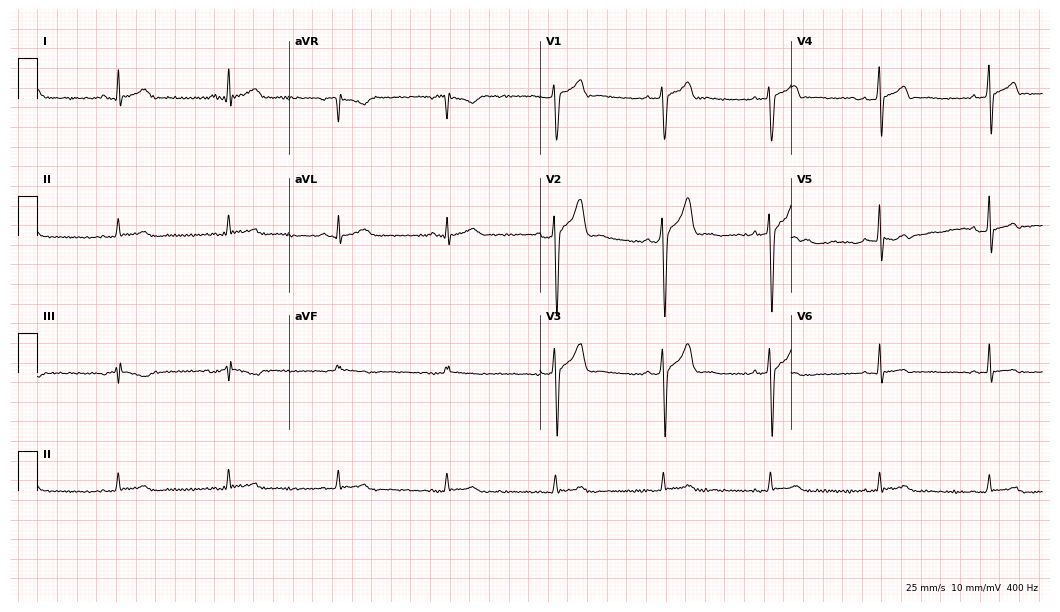
Electrocardiogram (10.2-second recording at 400 Hz), a male patient, 37 years old. Of the six screened findings (first-degree AV block, right bundle branch block, left bundle branch block, sinus bradycardia, atrial fibrillation, sinus tachycardia), none is recorded.